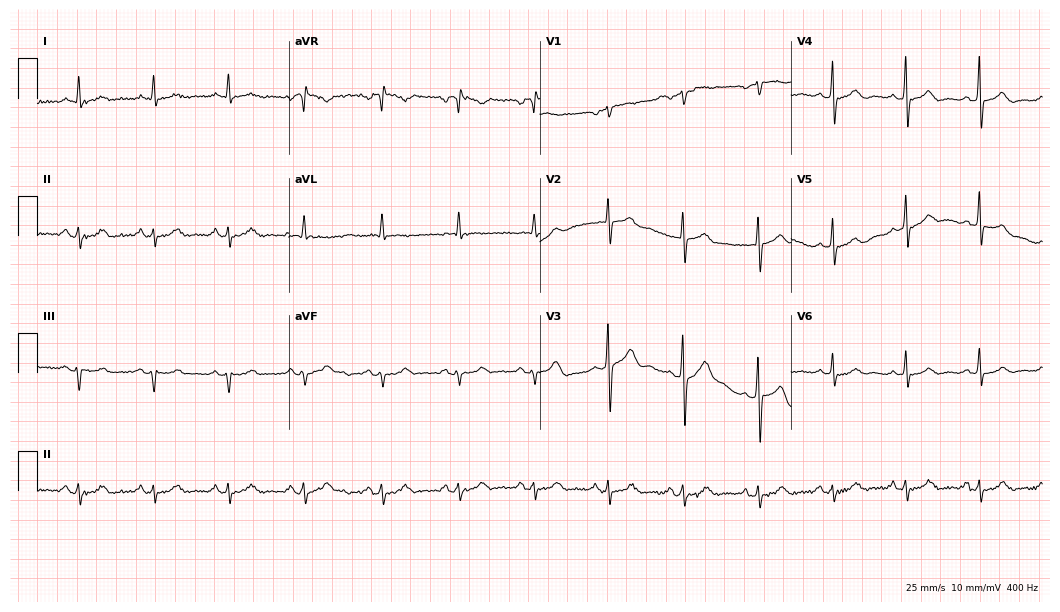
Resting 12-lead electrocardiogram. Patient: a 64-year-old male. None of these six findings is recorded: first-degree AV block, right bundle branch block, left bundle branch block, sinus bradycardia, atrial fibrillation, sinus tachycardia. Other findings, if any, are not listed.